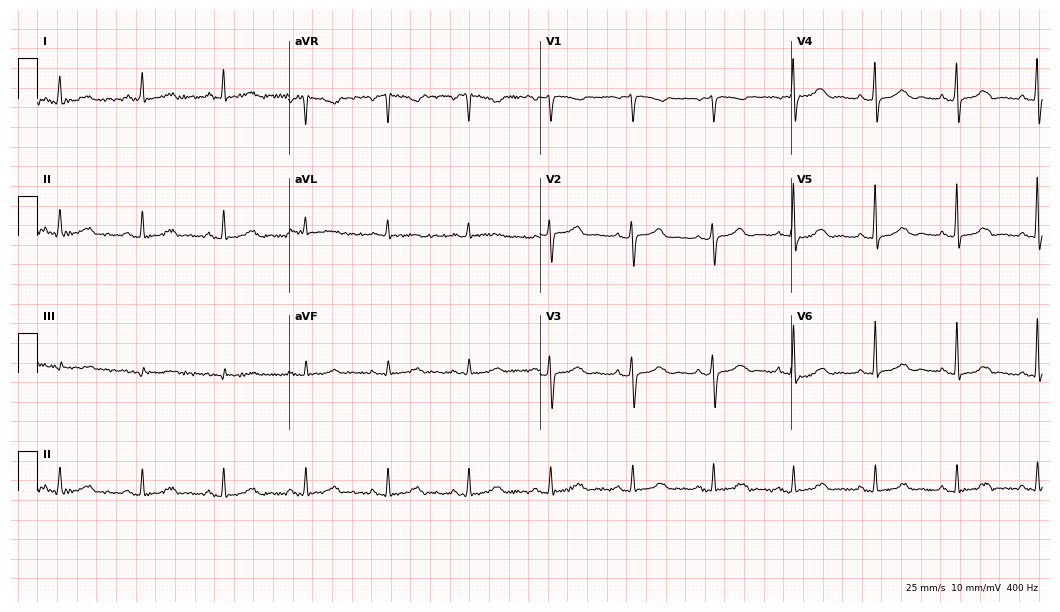
Resting 12-lead electrocardiogram (10.2-second recording at 400 Hz). Patient: a 64-year-old female. Read as a normal ECG.